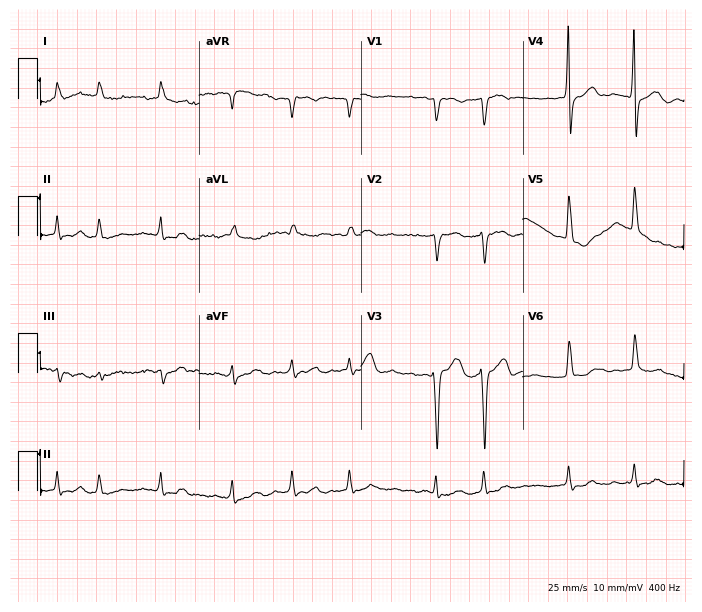
Resting 12-lead electrocardiogram (6.6-second recording at 400 Hz). Patient: a 74-year-old male. None of these six findings is recorded: first-degree AV block, right bundle branch block (RBBB), left bundle branch block (LBBB), sinus bradycardia, atrial fibrillation (AF), sinus tachycardia. Findings outside these six are not listed.